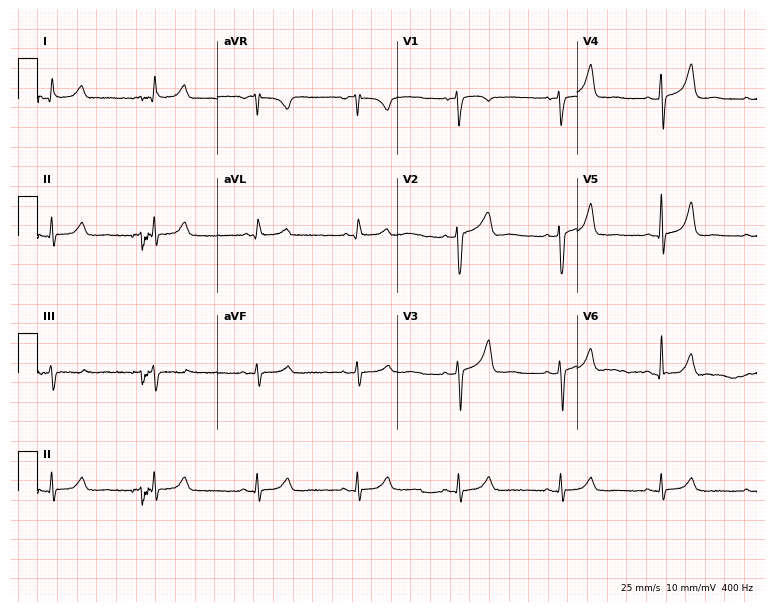
12-lead ECG (7.3-second recording at 400 Hz) from a male patient, 53 years old. Screened for six findings — first-degree AV block, right bundle branch block, left bundle branch block, sinus bradycardia, atrial fibrillation, sinus tachycardia — none is recorded.